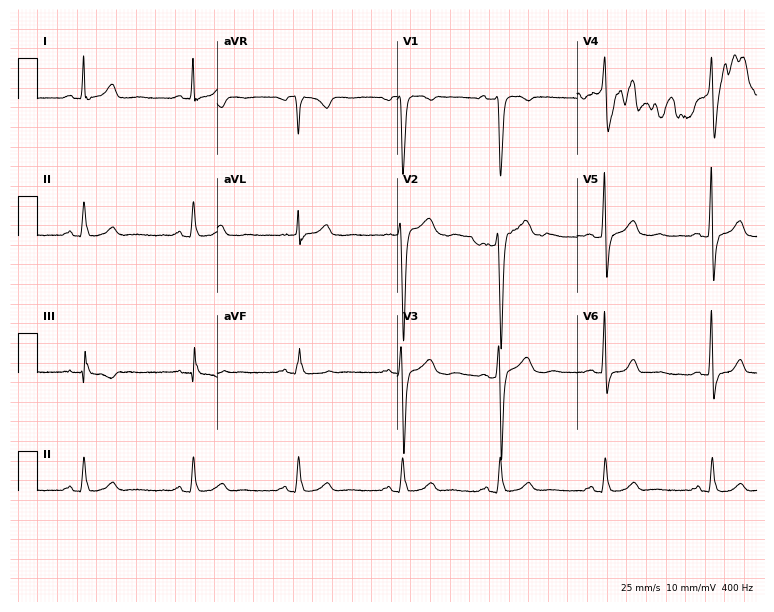
12-lead ECG from a 47-year-old man. Screened for six findings — first-degree AV block, right bundle branch block, left bundle branch block, sinus bradycardia, atrial fibrillation, sinus tachycardia — none is recorded. Other findings, if any, are not listed.